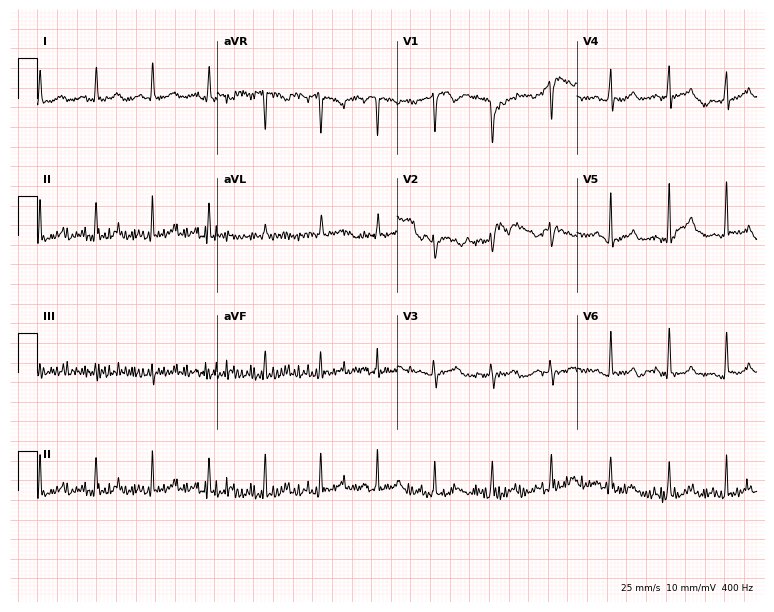
Electrocardiogram, a female patient, 51 years old. Of the six screened findings (first-degree AV block, right bundle branch block, left bundle branch block, sinus bradycardia, atrial fibrillation, sinus tachycardia), none is recorded.